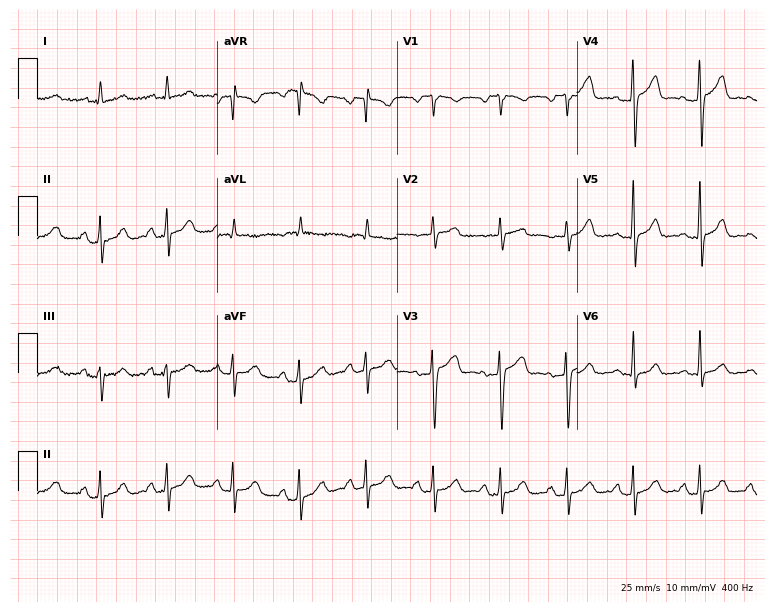
Standard 12-lead ECG recorded from a 55-year-old man. Read as a normal ECG.